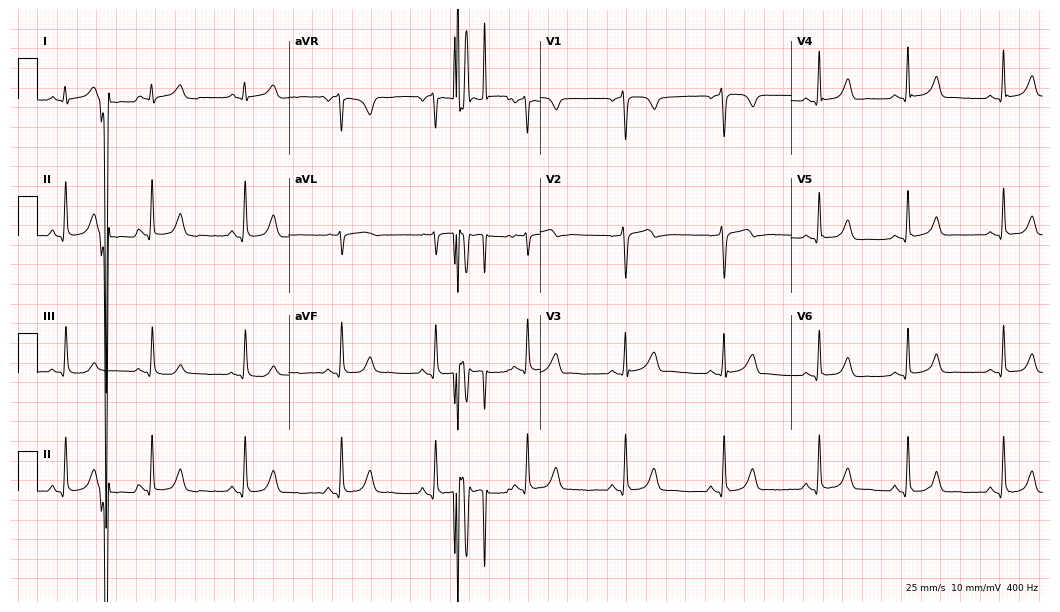
ECG (10.2-second recording at 400 Hz) — a female, 24 years old. Labelled as a normal ECG.